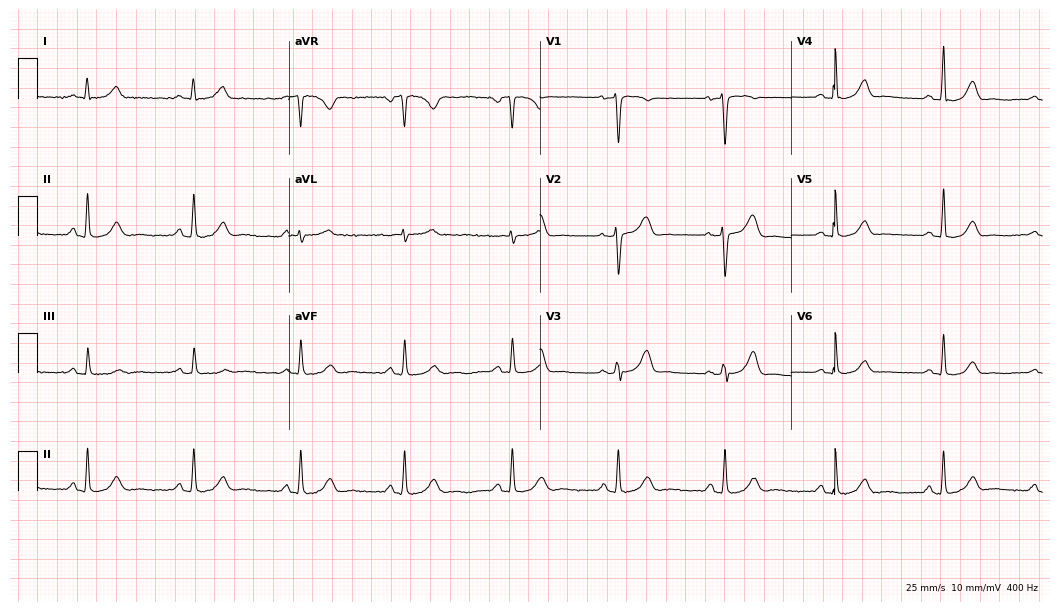
Standard 12-lead ECG recorded from a female, 50 years old. None of these six findings is recorded: first-degree AV block, right bundle branch block, left bundle branch block, sinus bradycardia, atrial fibrillation, sinus tachycardia.